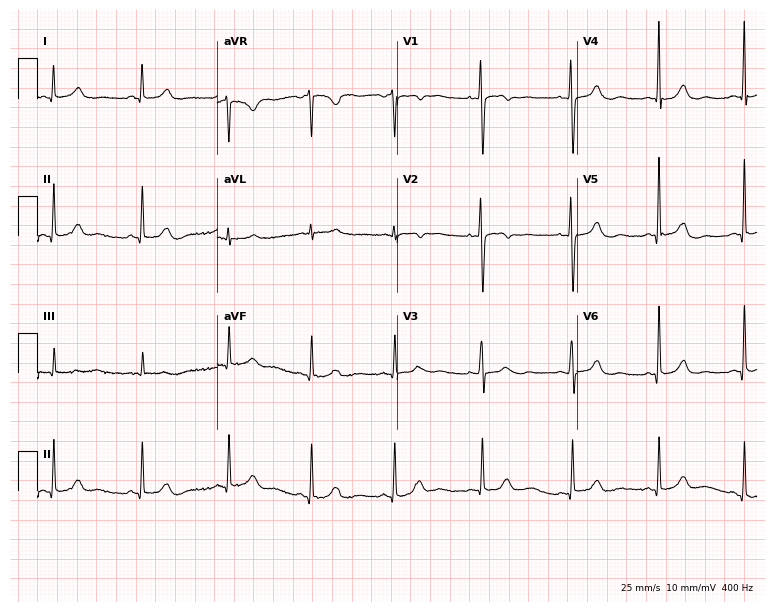
Resting 12-lead electrocardiogram. Patient: a 43-year-old female. None of these six findings is recorded: first-degree AV block, right bundle branch block, left bundle branch block, sinus bradycardia, atrial fibrillation, sinus tachycardia.